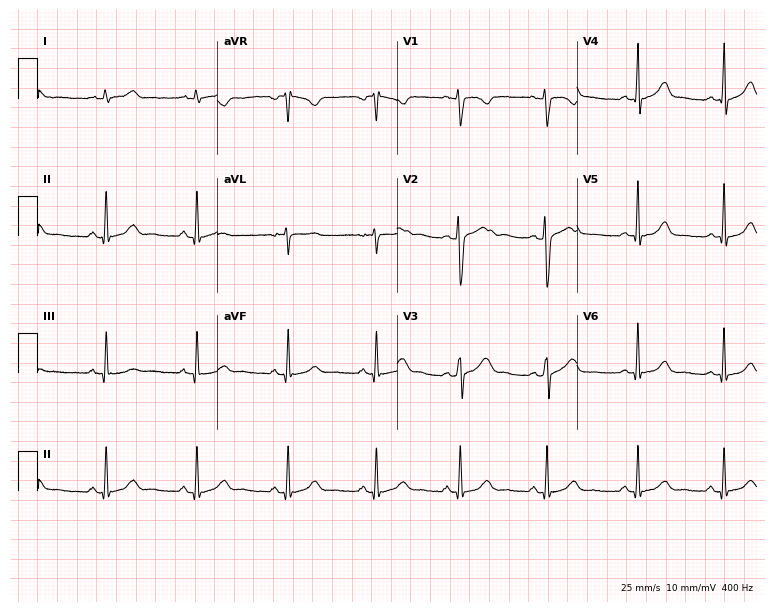
12-lead ECG (7.3-second recording at 400 Hz) from a woman, 25 years old. Labelled as a normal ECG.